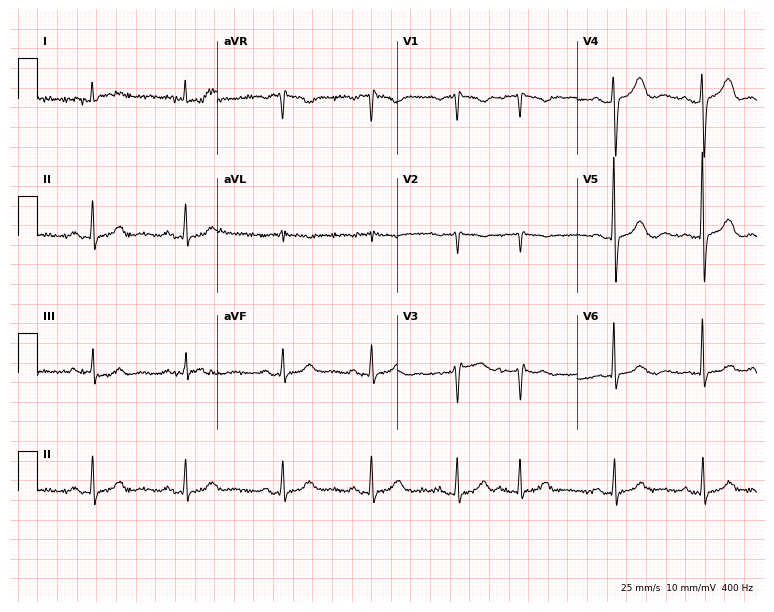
ECG — a man, 82 years old. Screened for six findings — first-degree AV block, right bundle branch block, left bundle branch block, sinus bradycardia, atrial fibrillation, sinus tachycardia — none is recorded. Only these six findings were labelled.